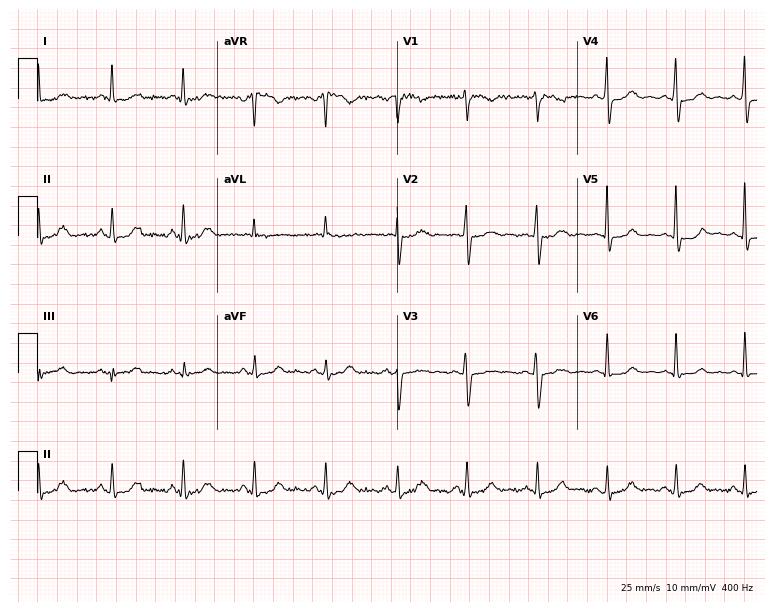
Standard 12-lead ECG recorded from a 49-year-old woman. None of these six findings is recorded: first-degree AV block, right bundle branch block, left bundle branch block, sinus bradycardia, atrial fibrillation, sinus tachycardia.